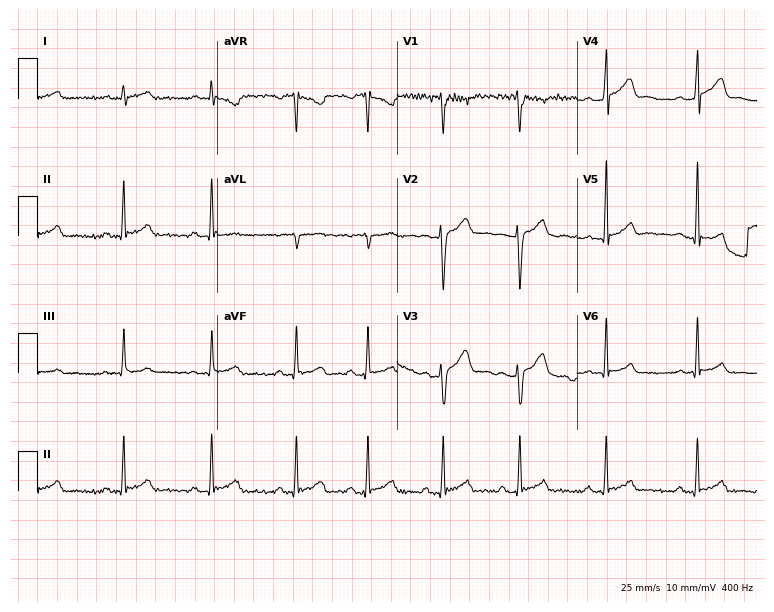
Standard 12-lead ECG recorded from a man, 23 years old (7.3-second recording at 400 Hz). Read as a normal ECG.